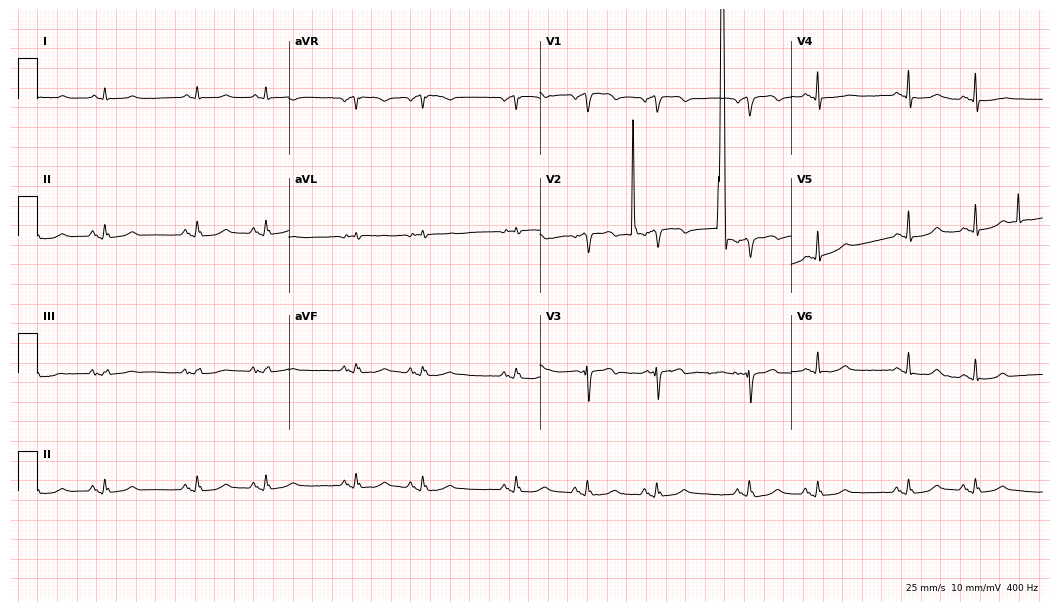
ECG (10.2-second recording at 400 Hz) — a male, 82 years old. Screened for six findings — first-degree AV block, right bundle branch block, left bundle branch block, sinus bradycardia, atrial fibrillation, sinus tachycardia — none is recorded.